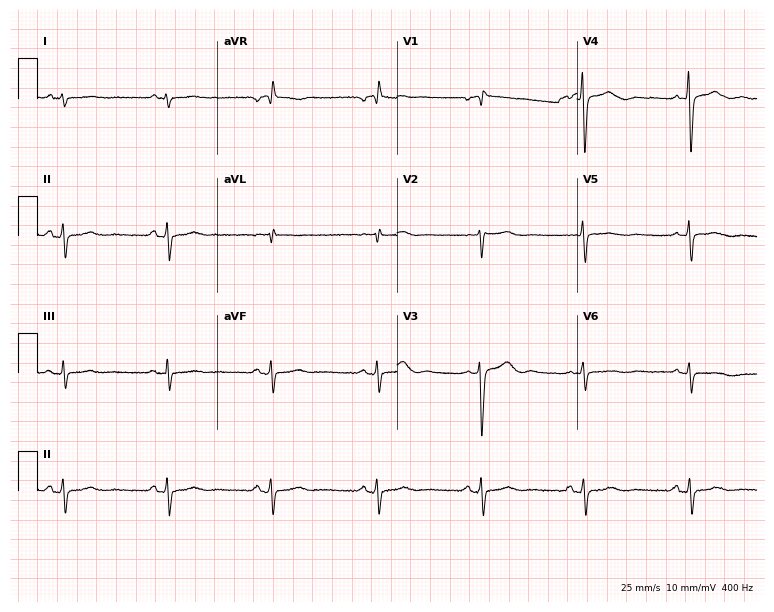
Electrocardiogram (7.3-second recording at 400 Hz), a 40-year-old woman. Of the six screened findings (first-degree AV block, right bundle branch block, left bundle branch block, sinus bradycardia, atrial fibrillation, sinus tachycardia), none is recorded.